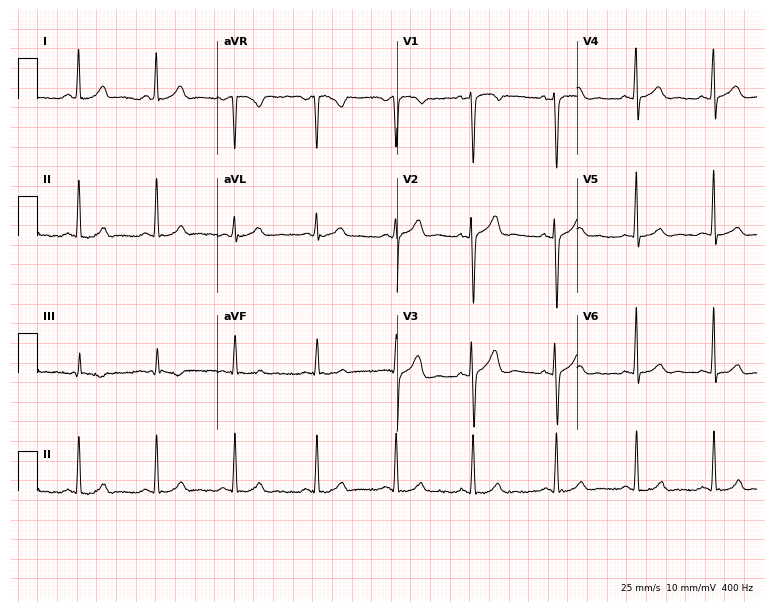
12-lead ECG from a man, 28 years old. Recorded interpretation: within normal limits.